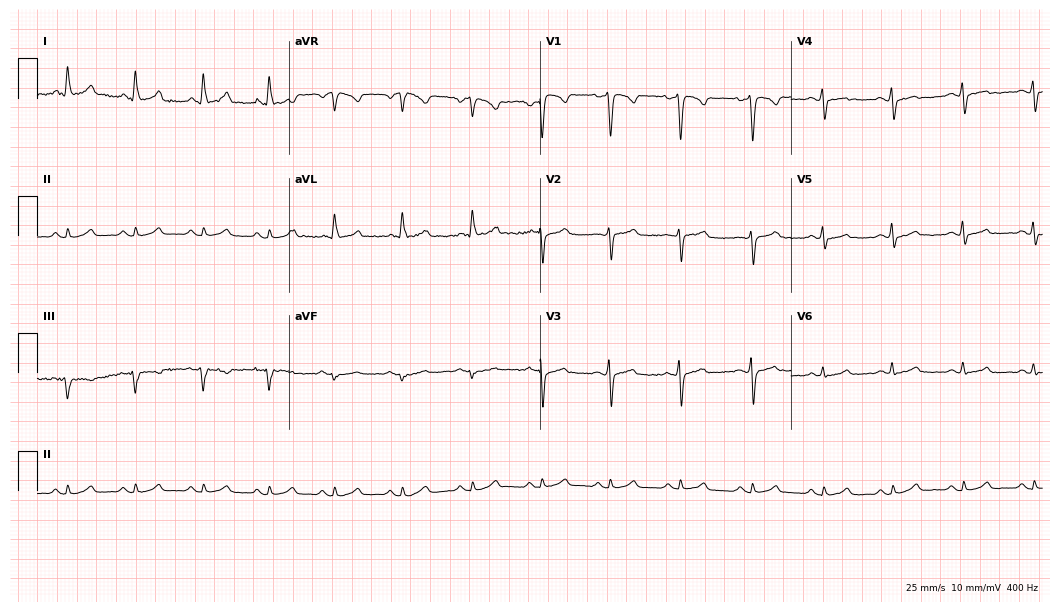
Electrocardiogram, a 29-year-old woman. Overall reading on record: normal ECG.